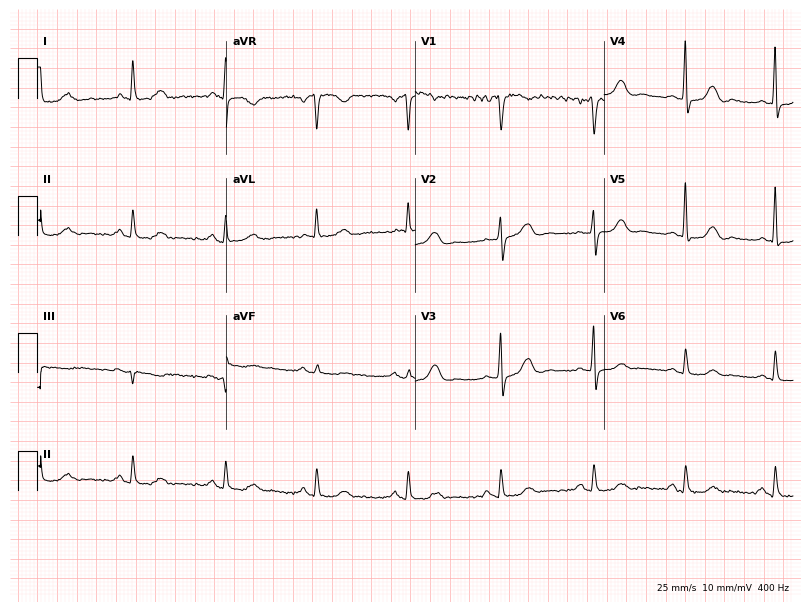
Resting 12-lead electrocardiogram. Patient: a female, 57 years old. Read as a normal ECG.